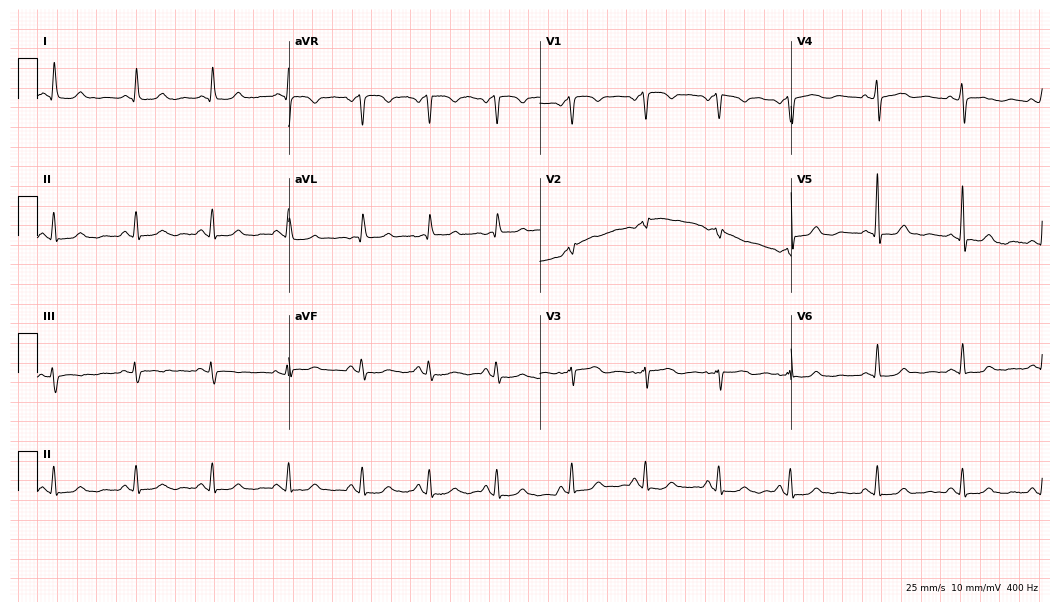
12-lead ECG from a 57-year-old female (10.2-second recording at 400 Hz). No first-degree AV block, right bundle branch block, left bundle branch block, sinus bradycardia, atrial fibrillation or sinus tachycardia recorded for this tracing. Findings outside these six are not listed.